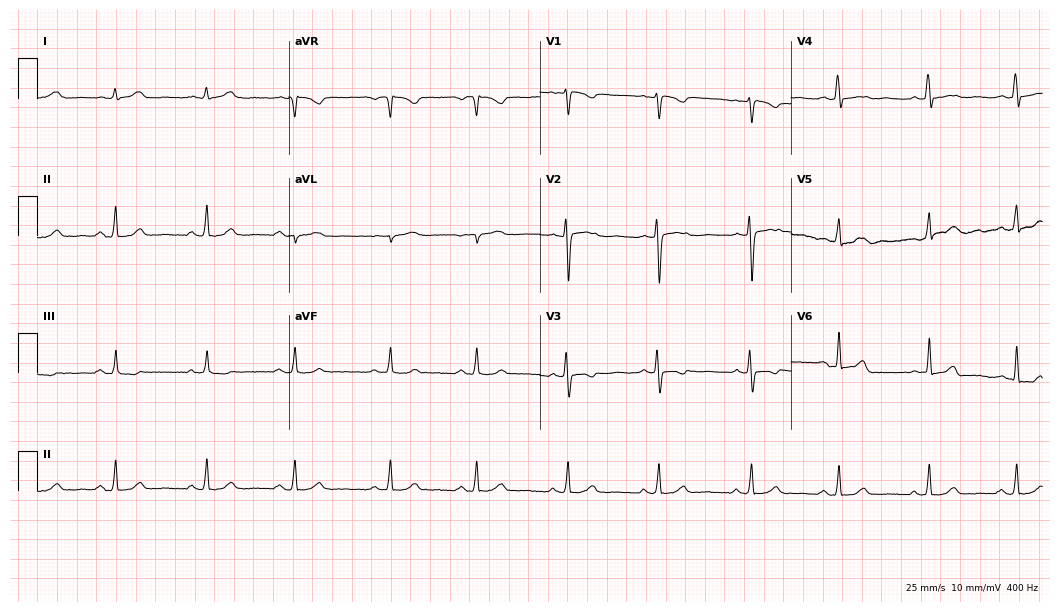
12-lead ECG from a 31-year-old female patient. Screened for six findings — first-degree AV block, right bundle branch block, left bundle branch block, sinus bradycardia, atrial fibrillation, sinus tachycardia — none is recorded. Findings outside these six are not listed.